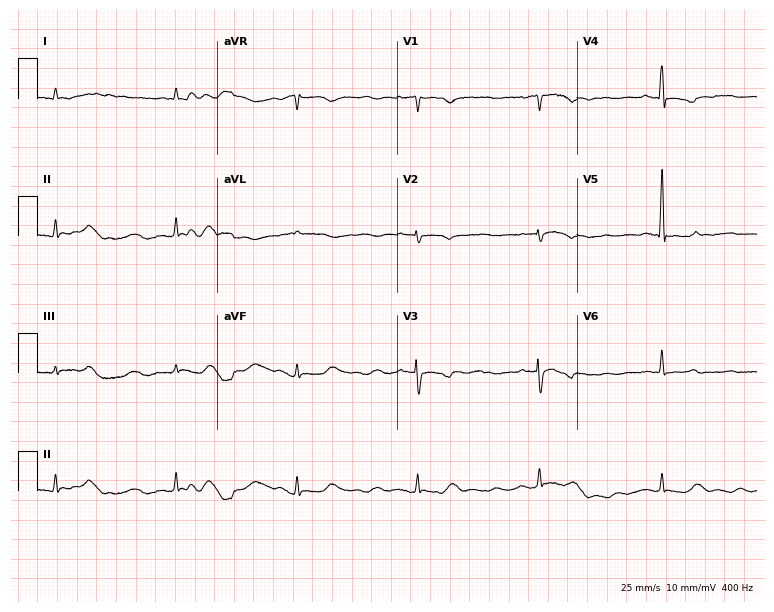
Electrocardiogram (7.3-second recording at 400 Hz), a 71-year-old man. Of the six screened findings (first-degree AV block, right bundle branch block, left bundle branch block, sinus bradycardia, atrial fibrillation, sinus tachycardia), none is recorded.